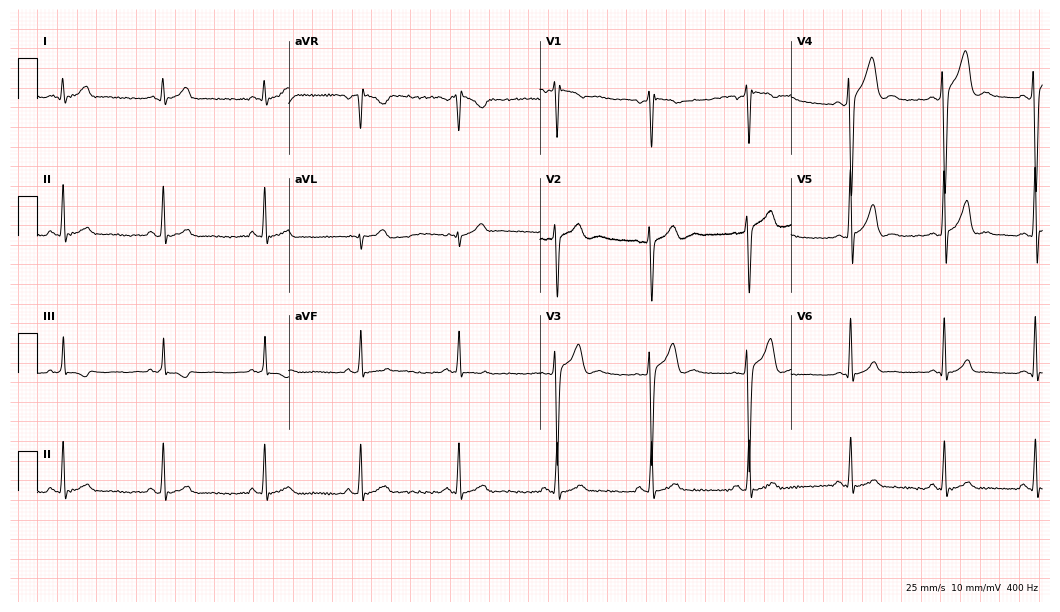
Standard 12-lead ECG recorded from a male patient, 26 years old. Read as a normal ECG.